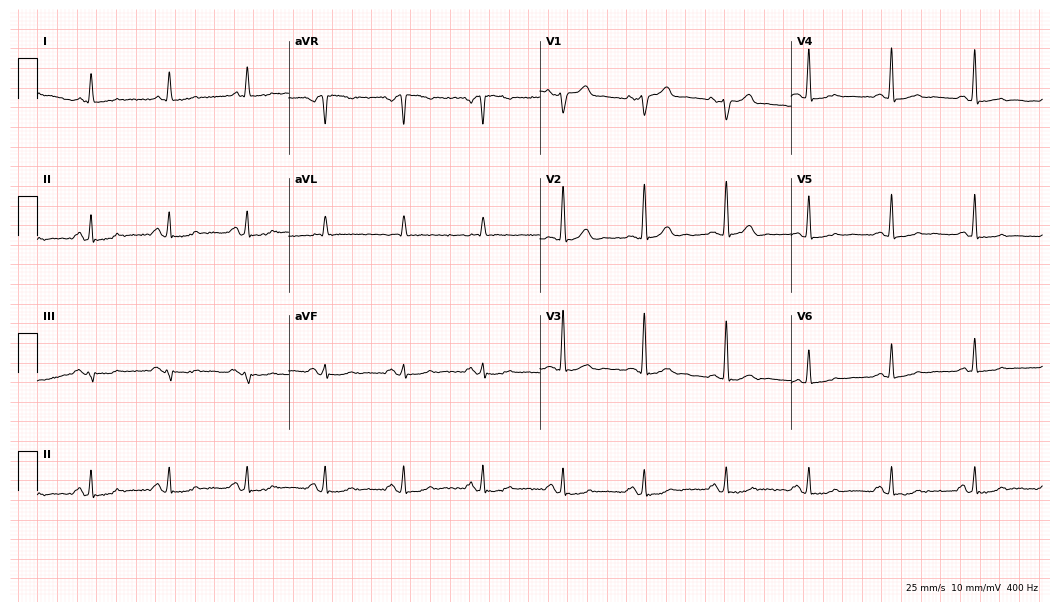
Electrocardiogram, a man, 69 years old. Of the six screened findings (first-degree AV block, right bundle branch block (RBBB), left bundle branch block (LBBB), sinus bradycardia, atrial fibrillation (AF), sinus tachycardia), none is recorded.